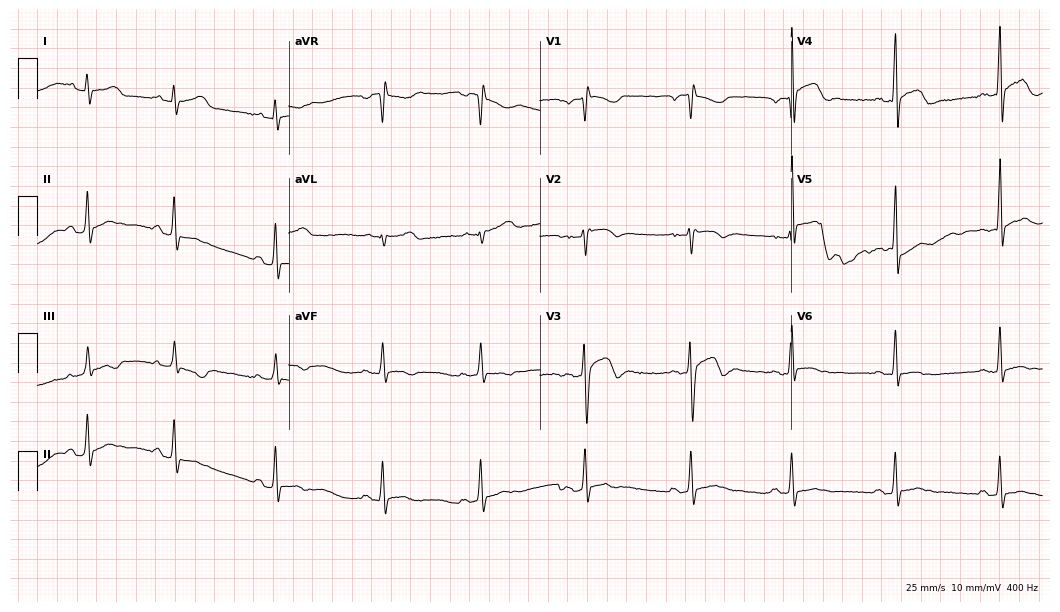
ECG — a male patient, 17 years old. Screened for six findings — first-degree AV block, right bundle branch block (RBBB), left bundle branch block (LBBB), sinus bradycardia, atrial fibrillation (AF), sinus tachycardia — none is recorded.